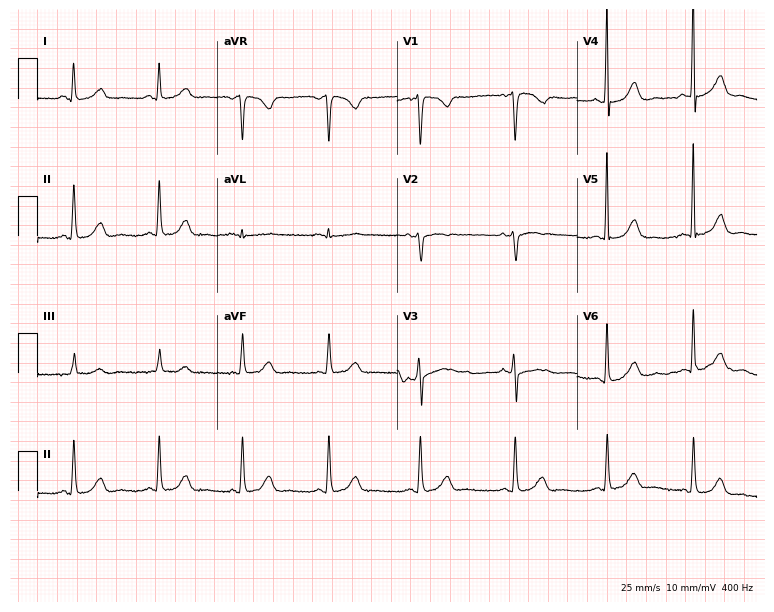
12-lead ECG from a woman, 48 years old. Recorded interpretation: within normal limits.